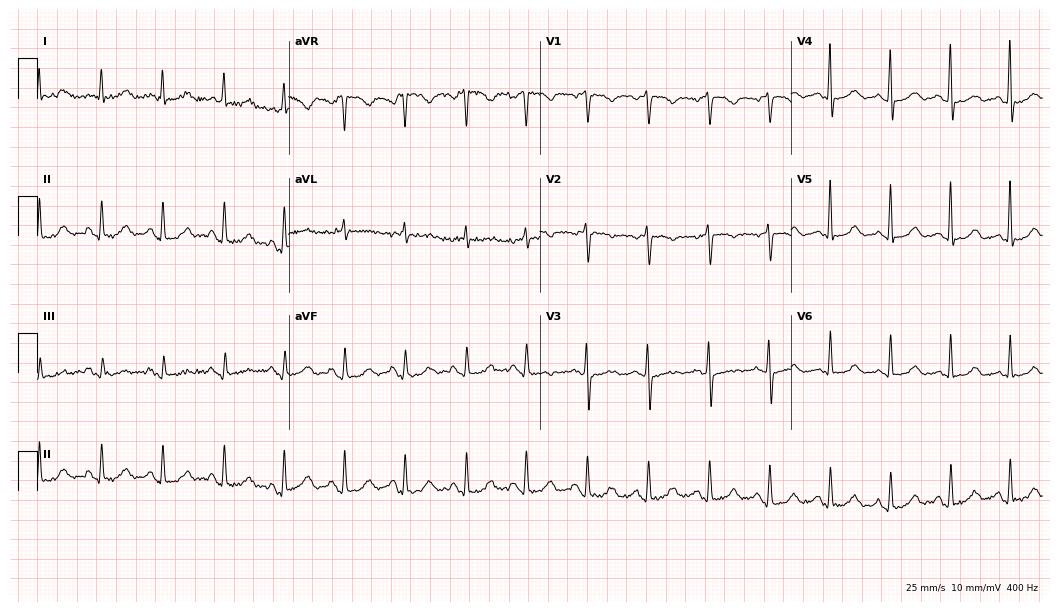
ECG (10.2-second recording at 400 Hz) — a 67-year-old female. Labelled as a normal ECG.